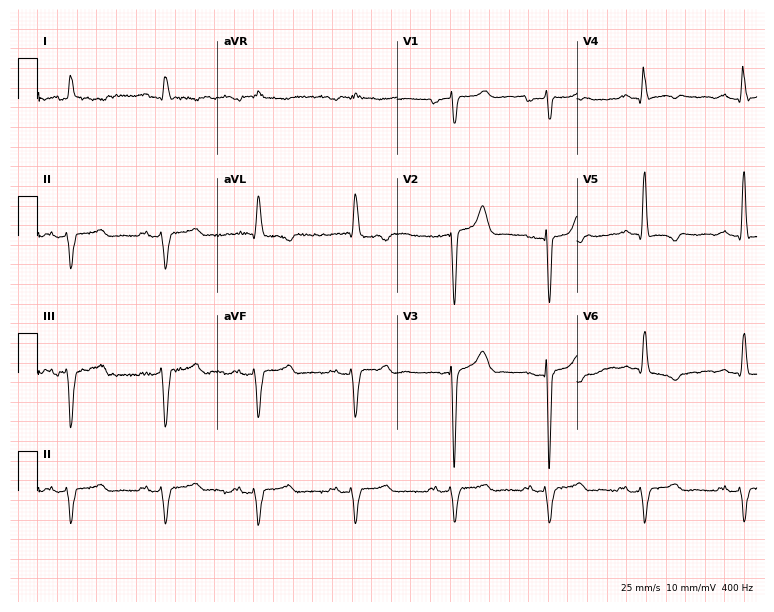
Resting 12-lead electrocardiogram. Patient: a 66-year-old male. None of these six findings is recorded: first-degree AV block, right bundle branch block, left bundle branch block, sinus bradycardia, atrial fibrillation, sinus tachycardia. Findings outside these six are not listed.